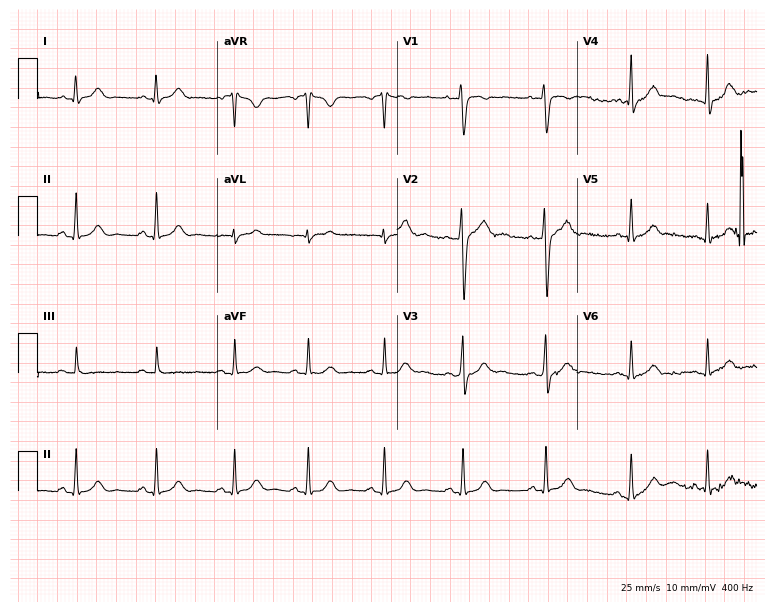
Standard 12-lead ECG recorded from a female patient, 24 years old (7.3-second recording at 400 Hz). Read as a normal ECG.